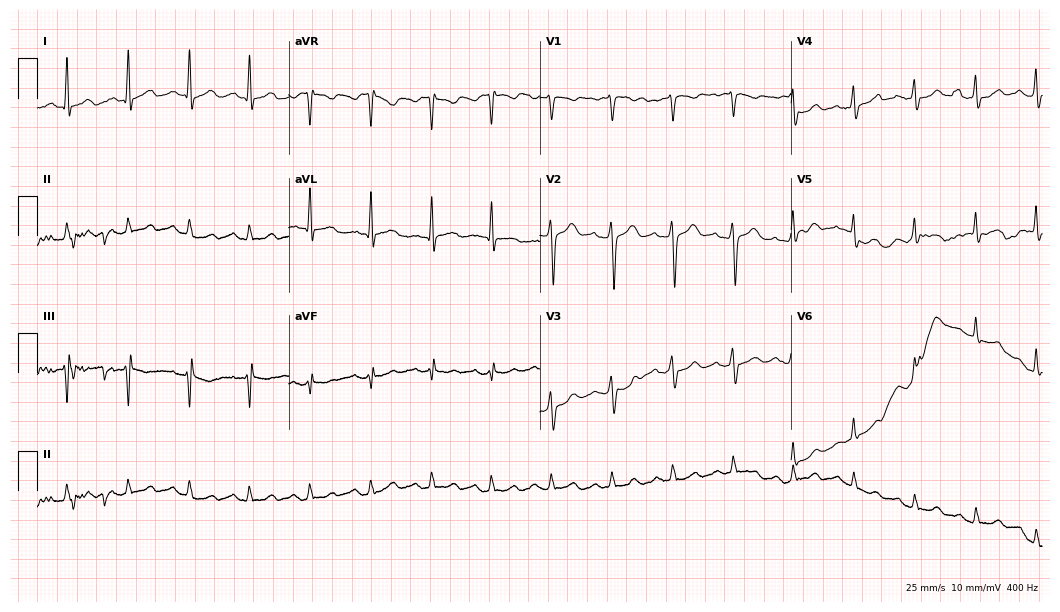
12-lead ECG from a male, 42 years old (10.2-second recording at 400 Hz). Recorded interpretation: within normal limits.